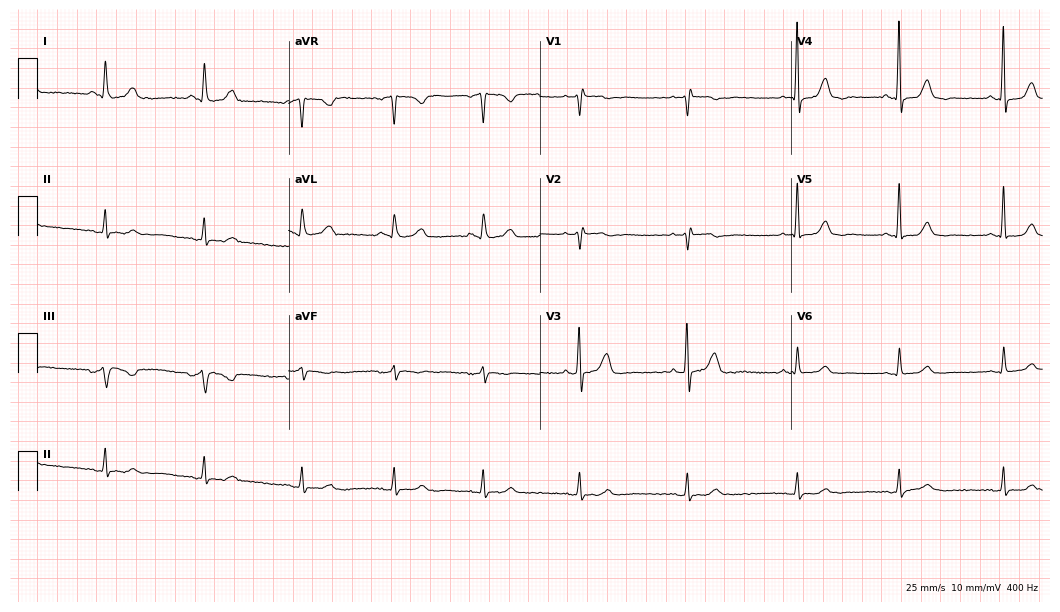
Electrocardiogram, a female patient, 56 years old. Overall reading on record: normal ECG.